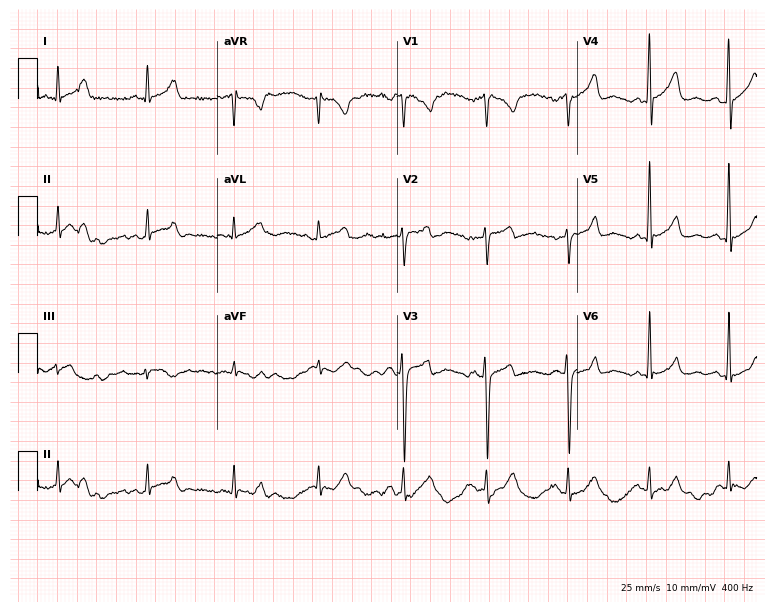
Standard 12-lead ECG recorded from a 41-year-old man (7.3-second recording at 400 Hz). None of these six findings is recorded: first-degree AV block, right bundle branch block, left bundle branch block, sinus bradycardia, atrial fibrillation, sinus tachycardia. Only these six findings were labelled.